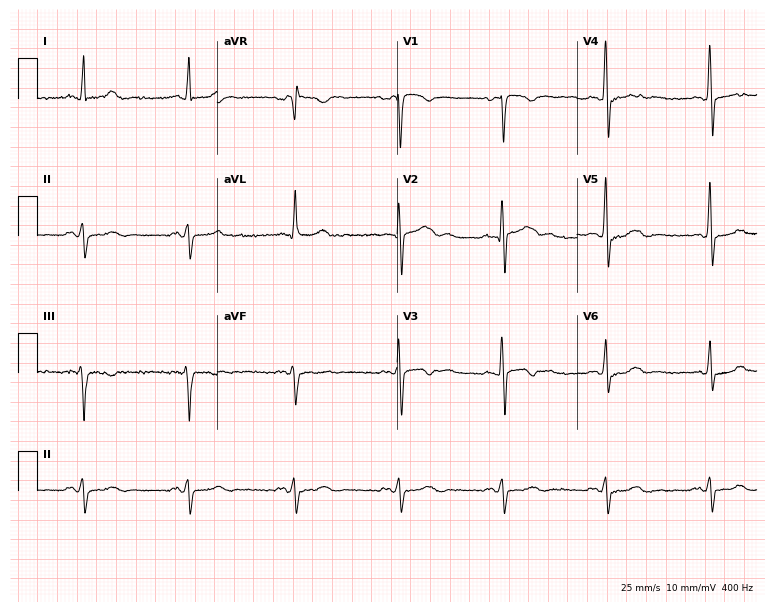
ECG (7.3-second recording at 400 Hz) — a 63-year-old male patient. Screened for six findings — first-degree AV block, right bundle branch block (RBBB), left bundle branch block (LBBB), sinus bradycardia, atrial fibrillation (AF), sinus tachycardia — none is recorded.